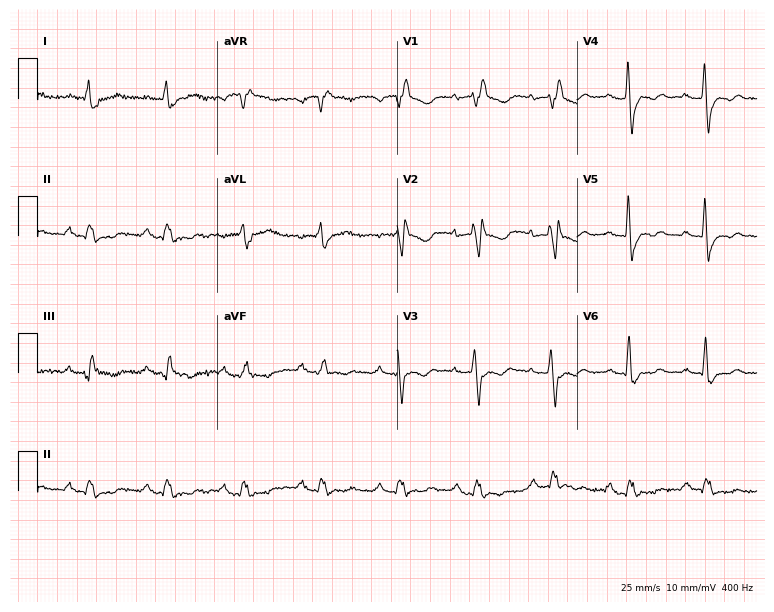
Electrocardiogram (7.3-second recording at 400 Hz), a 76-year-old female. Interpretation includes right bundle branch block.